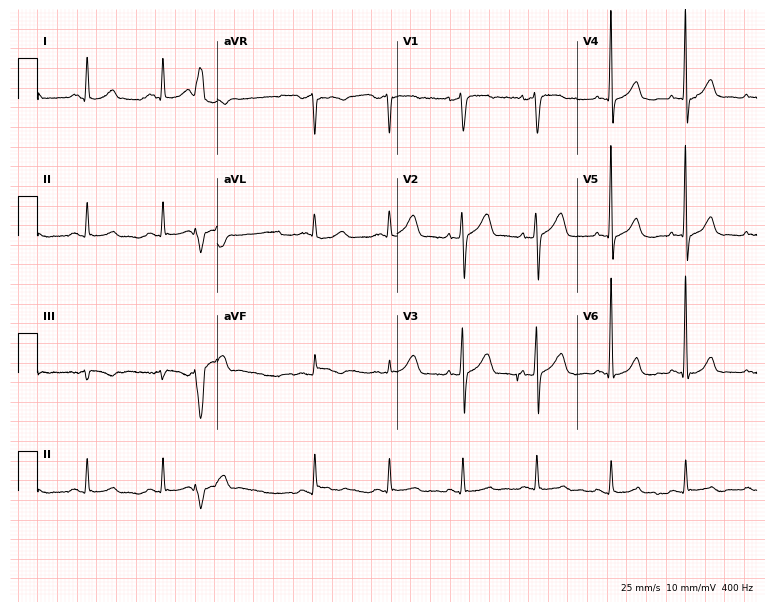
Resting 12-lead electrocardiogram. Patient: a male, 54 years old. None of these six findings is recorded: first-degree AV block, right bundle branch block, left bundle branch block, sinus bradycardia, atrial fibrillation, sinus tachycardia. Other findings, if any, are not listed.